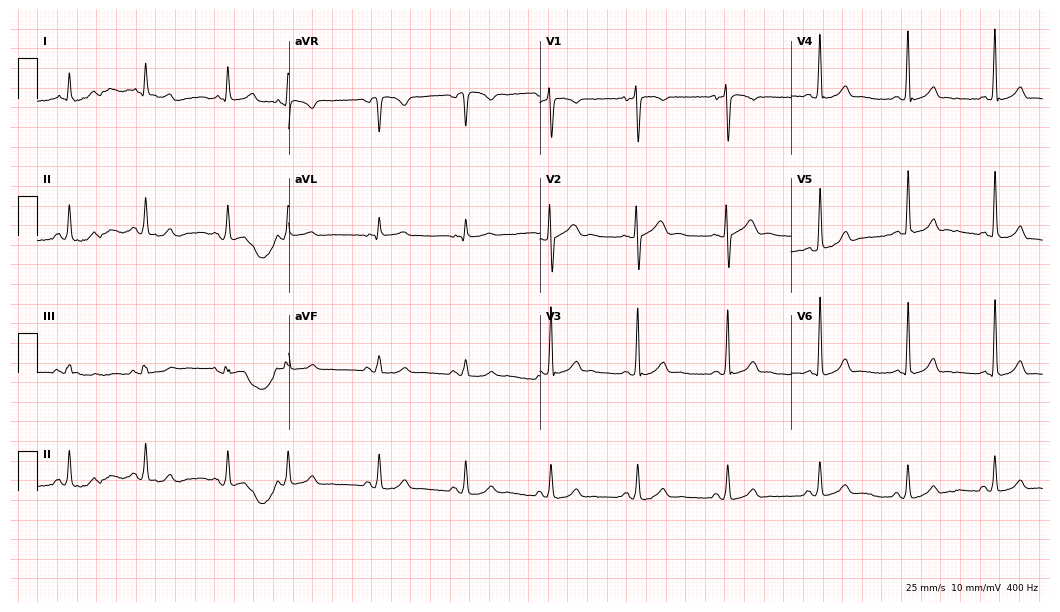
12-lead ECG (10.2-second recording at 400 Hz) from a 34-year-old female patient. Labelled as a normal ECG.